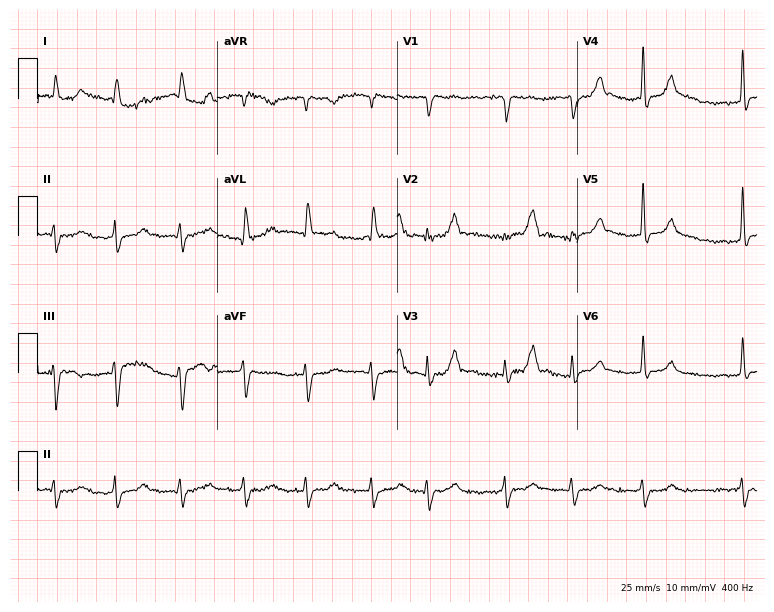
12-lead ECG (7.3-second recording at 400 Hz) from a male, 82 years old. Findings include atrial fibrillation.